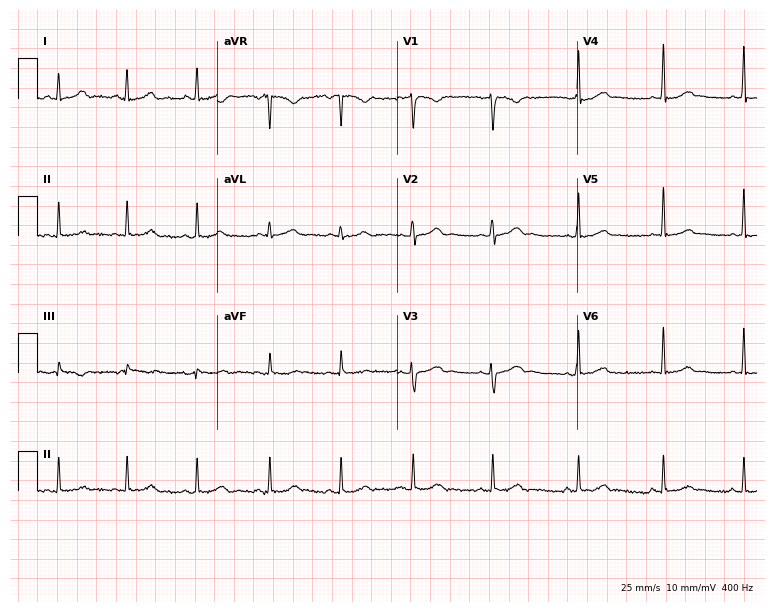
Electrocardiogram, a woman, 32 years old. Overall reading on record: normal ECG.